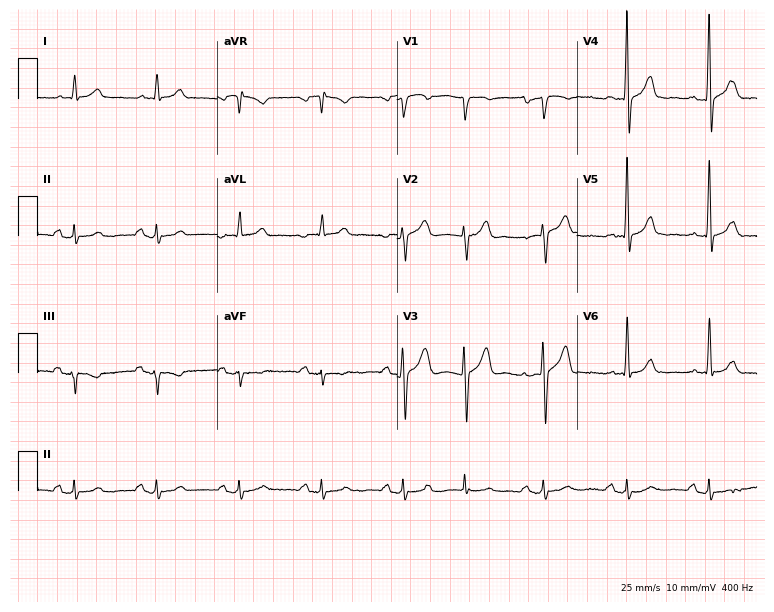
Electrocardiogram (7.3-second recording at 400 Hz), a male, 63 years old. Of the six screened findings (first-degree AV block, right bundle branch block (RBBB), left bundle branch block (LBBB), sinus bradycardia, atrial fibrillation (AF), sinus tachycardia), none is recorded. Only these six findings were labelled.